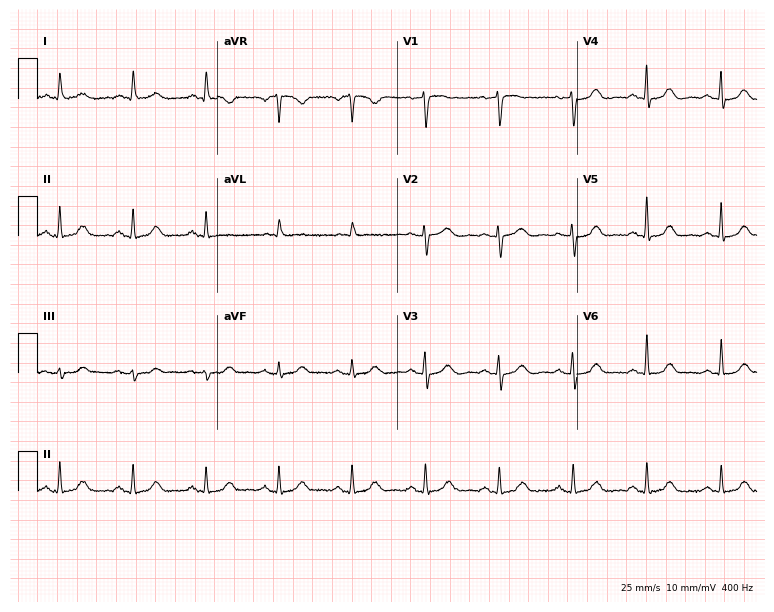
Electrocardiogram (7.3-second recording at 400 Hz), a 71-year-old woman. Overall reading on record: normal ECG.